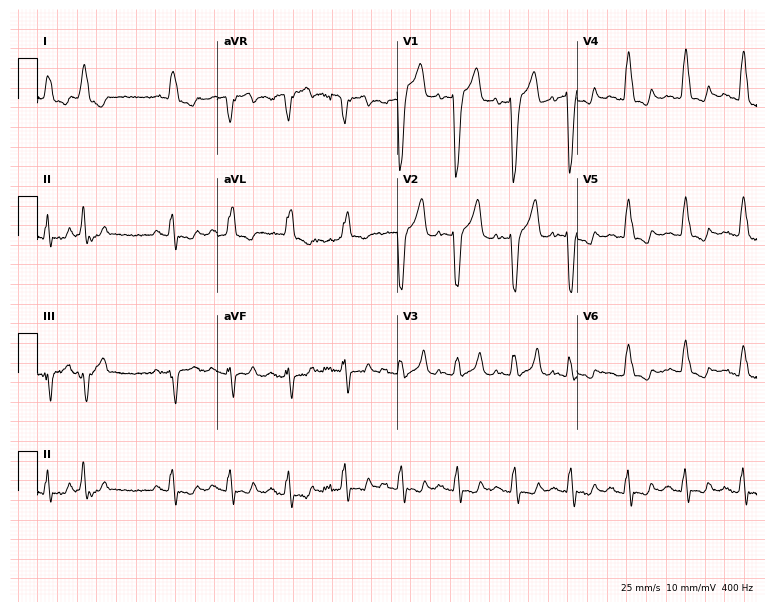
12-lead ECG from a 79-year-old female patient (7.3-second recording at 400 Hz). No first-degree AV block, right bundle branch block (RBBB), left bundle branch block (LBBB), sinus bradycardia, atrial fibrillation (AF) or sinus tachycardia recorded for this tracing. Findings outside these six are not listed.